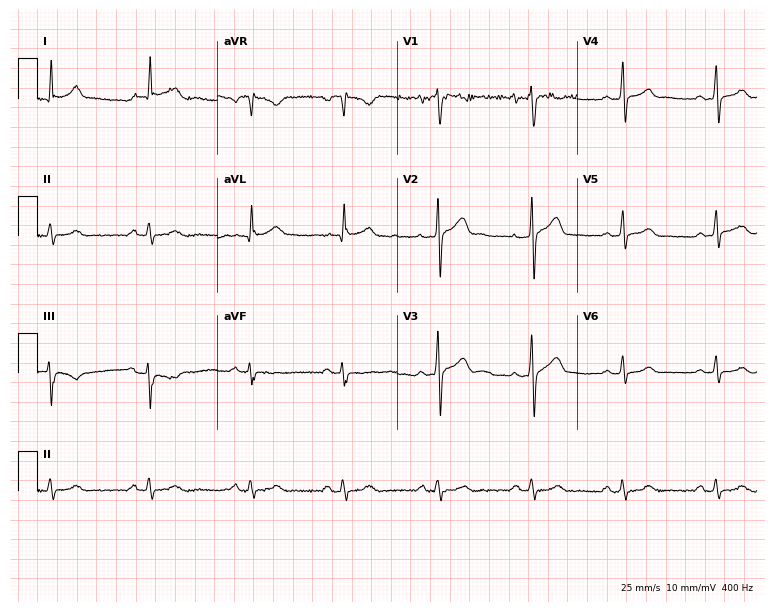
12-lead ECG from a male patient, 56 years old. No first-degree AV block, right bundle branch block (RBBB), left bundle branch block (LBBB), sinus bradycardia, atrial fibrillation (AF) or sinus tachycardia recorded for this tracing.